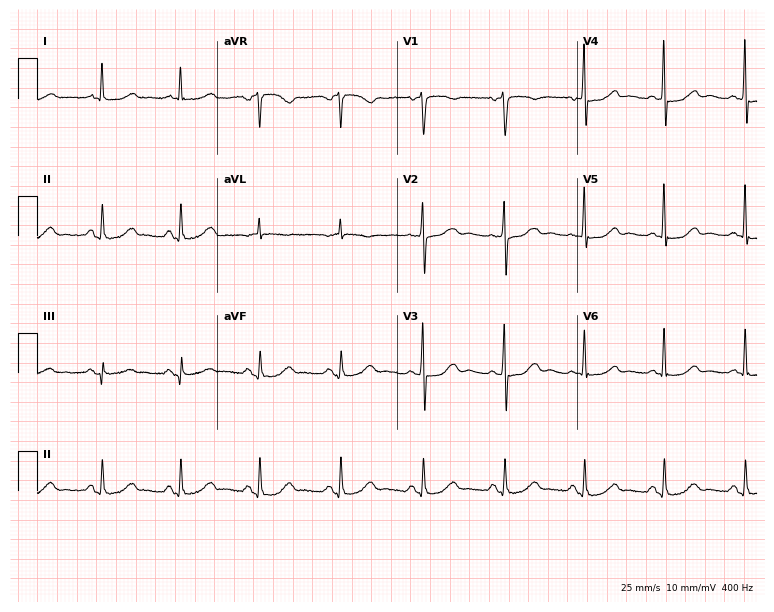
Standard 12-lead ECG recorded from a female, 63 years old (7.3-second recording at 400 Hz). Read as a normal ECG.